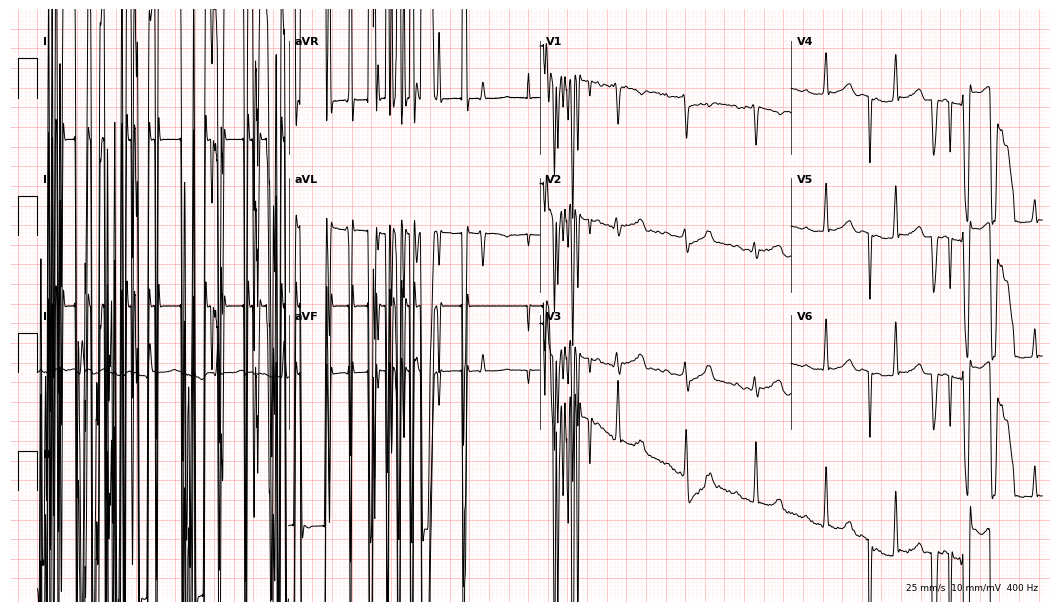
12-lead ECG from a 33-year-old female patient (10.2-second recording at 400 Hz). No first-degree AV block, right bundle branch block (RBBB), left bundle branch block (LBBB), sinus bradycardia, atrial fibrillation (AF) or sinus tachycardia recorded for this tracing. Other findings, if any, are not listed.